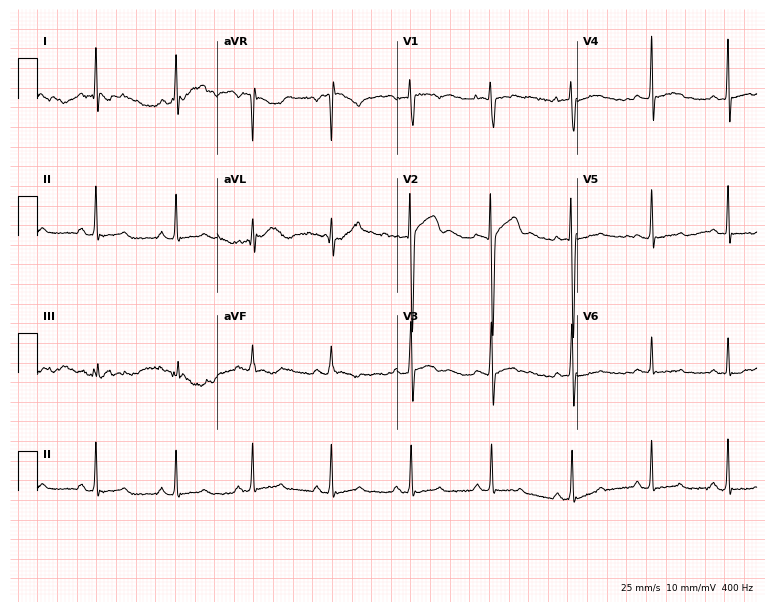
Resting 12-lead electrocardiogram. Patient: a 17-year-old male. Read as a normal ECG.